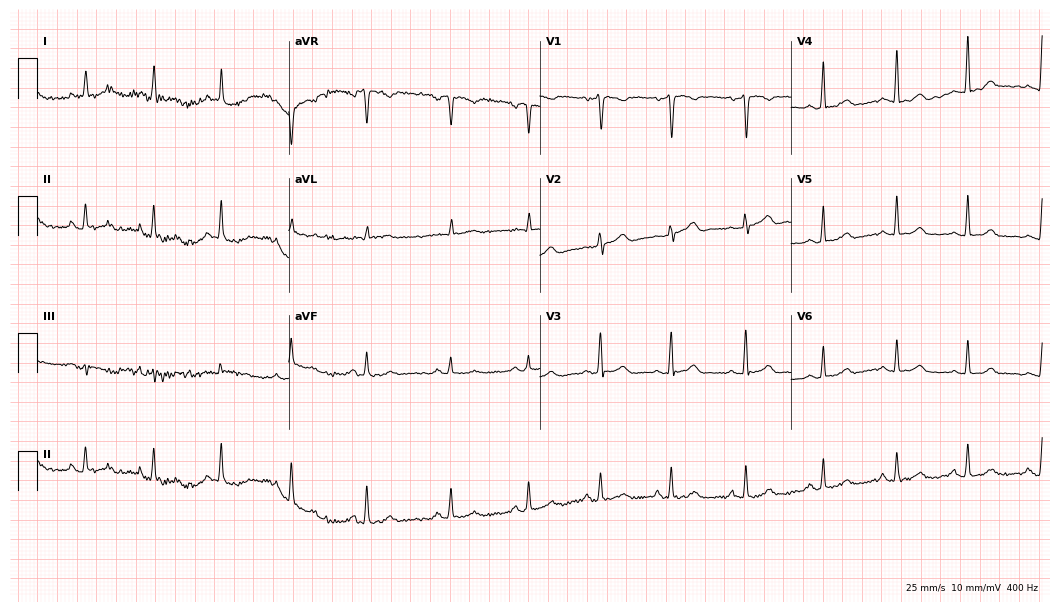
12-lead ECG from a female patient, 61 years old (10.2-second recording at 400 Hz). Recorded interpretation: within normal limits.